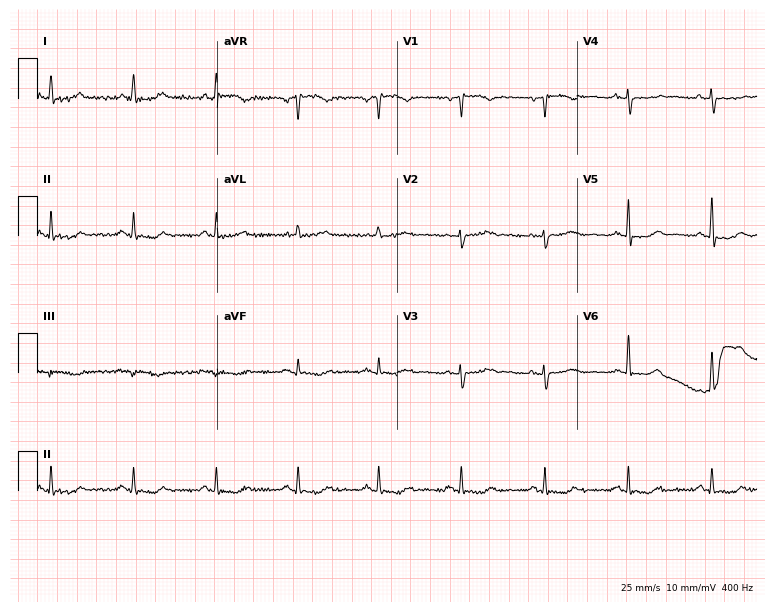
Electrocardiogram, a 73-year-old woman. Overall reading on record: normal ECG.